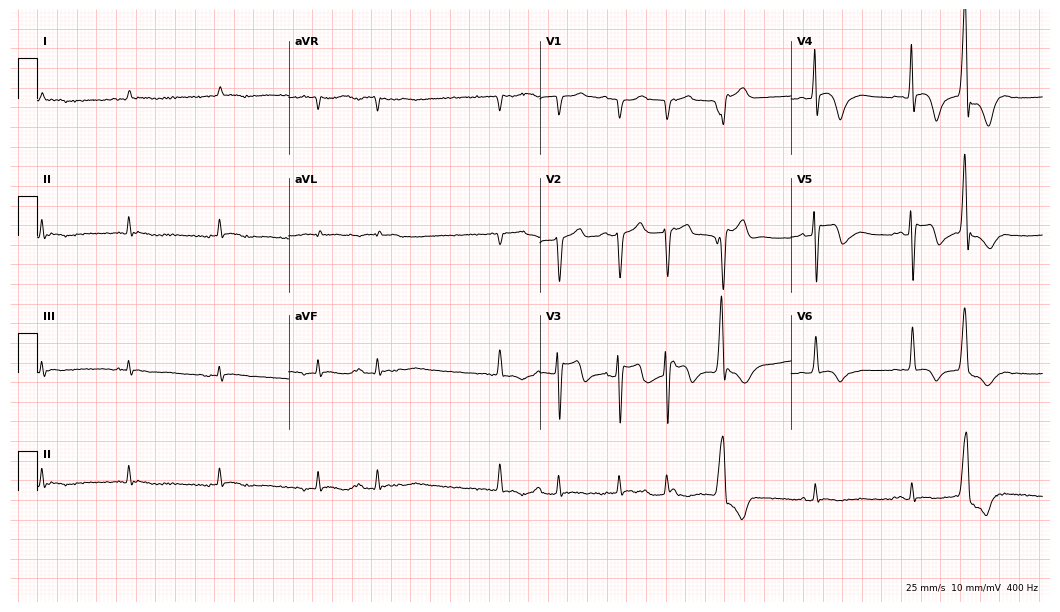
Standard 12-lead ECG recorded from an 82-year-old man. None of these six findings is recorded: first-degree AV block, right bundle branch block (RBBB), left bundle branch block (LBBB), sinus bradycardia, atrial fibrillation (AF), sinus tachycardia. Only these six findings were labelled.